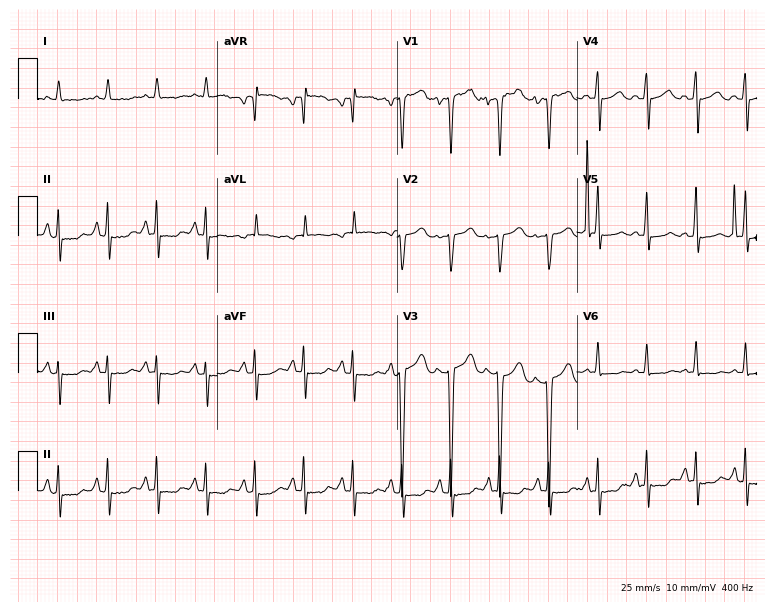
12-lead ECG (7.3-second recording at 400 Hz) from a 68-year-old male patient. Findings include sinus tachycardia (a sinus rate of 100 beats per minute or more).